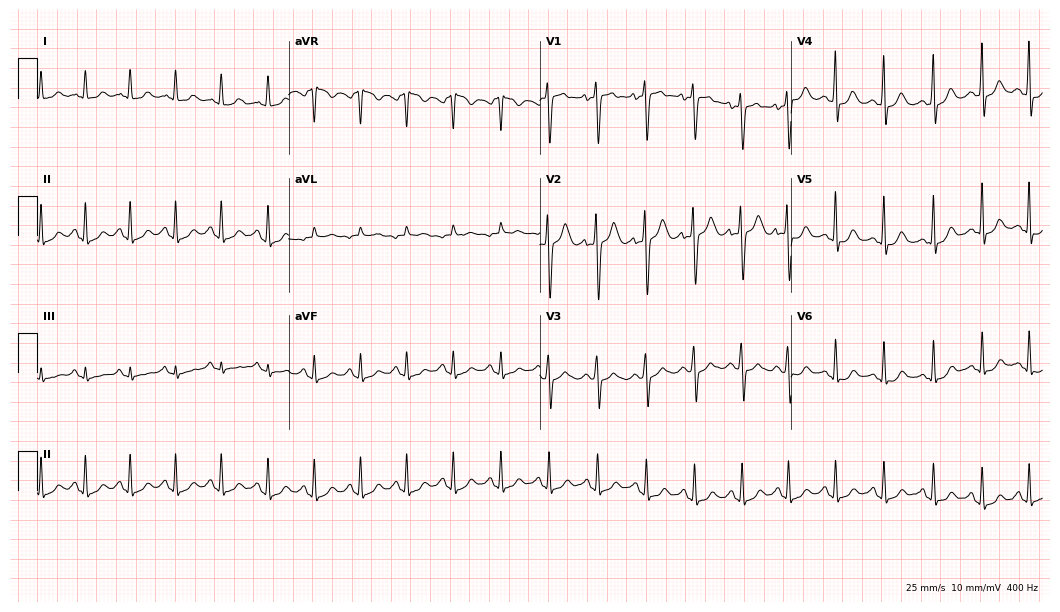
ECG — a woman, 20 years old. Findings include sinus tachycardia (a sinus rate of 100 beats per minute or more).